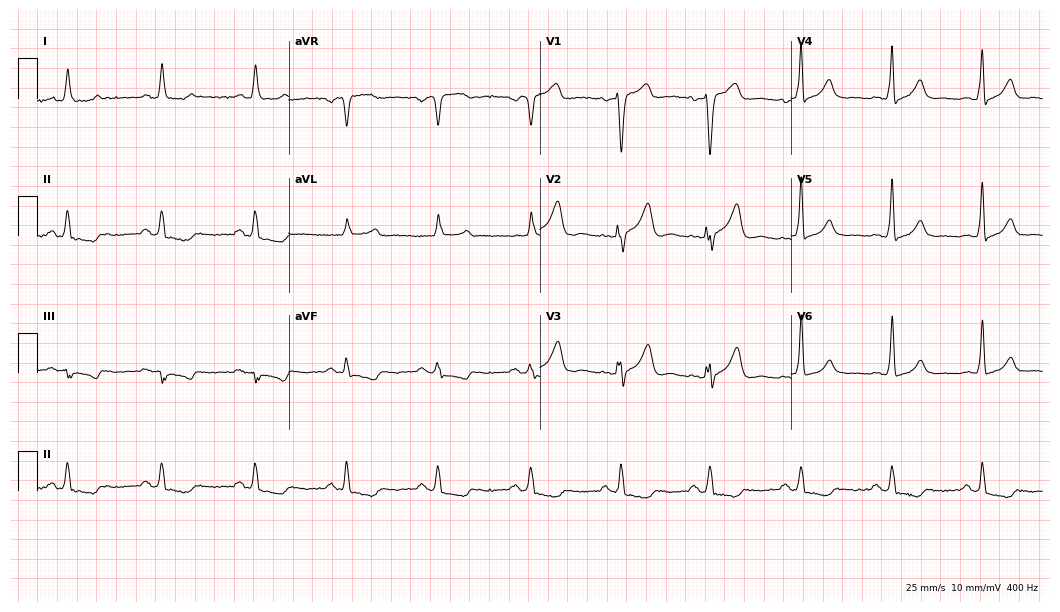
Electrocardiogram, a male patient, 57 years old. Of the six screened findings (first-degree AV block, right bundle branch block, left bundle branch block, sinus bradycardia, atrial fibrillation, sinus tachycardia), none is recorded. Findings outside these six are not listed.